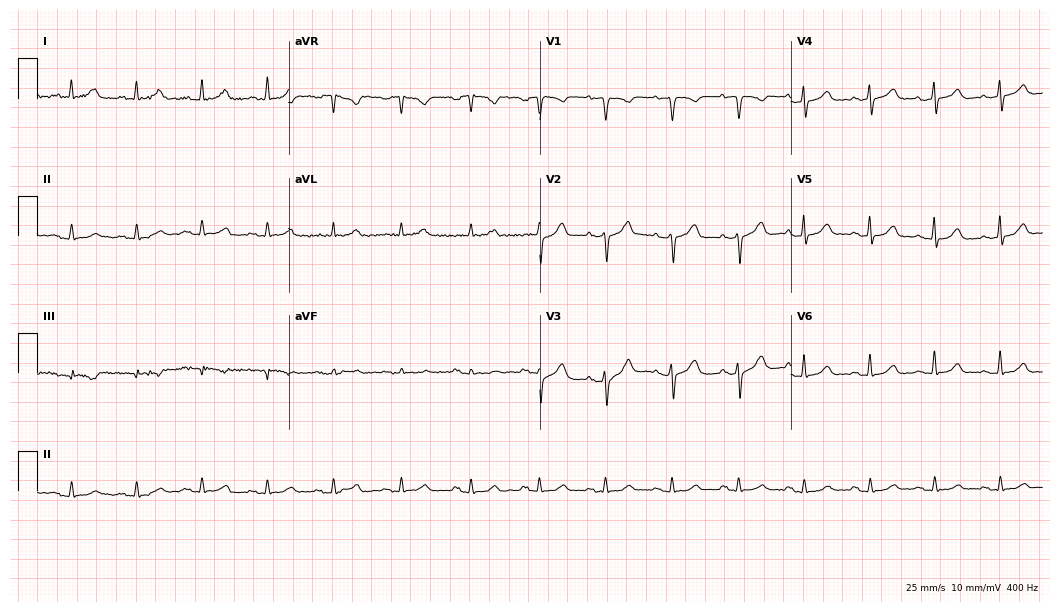
Electrocardiogram, a woman, 71 years old. Of the six screened findings (first-degree AV block, right bundle branch block (RBBB), left bundle branch block (LBBB), sinus bradycardia, atrial fibrillation (AF), sinus tachycardia), none is recorded. Findings outside these six are not listed.